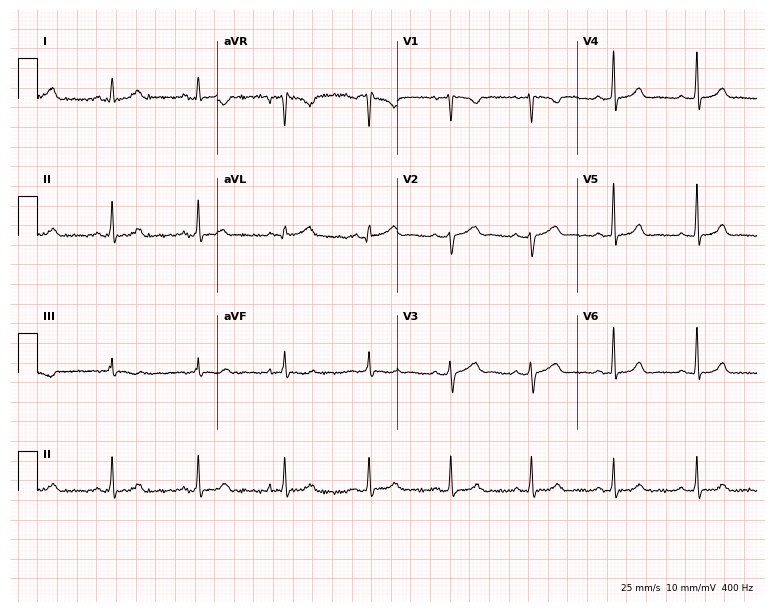
12-lead ECG from a male, 32 years old. Labelled as a normal ECG.